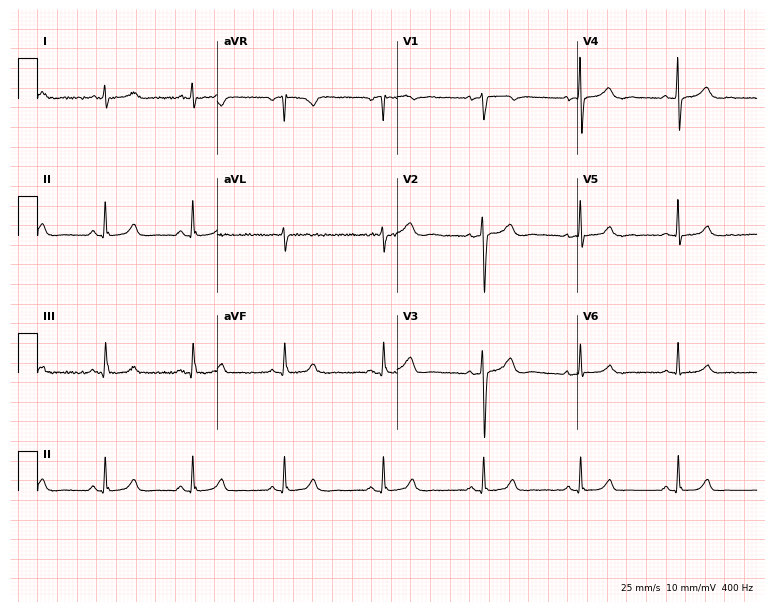
Standard 12-lead ECG recorded from a female, 39 years old. None of these six findings is recorded: first-degree AV block, right bundle branch block (RBBB), left bundle branch block (LBBB), sinus bradycardia, atrial fibrillation (AF), sinus tachycardia. Other findings, if any, are not listed.